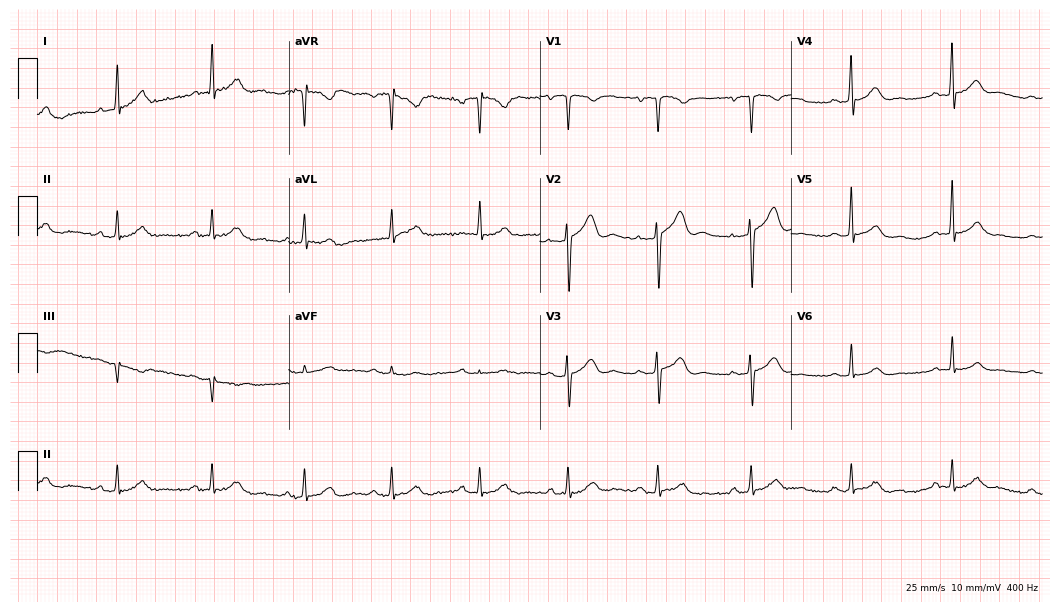
Electrocardiogram (10.2-second recording at 400 Hz), a male, 66 years old. Overall reading on record: normal ECG.